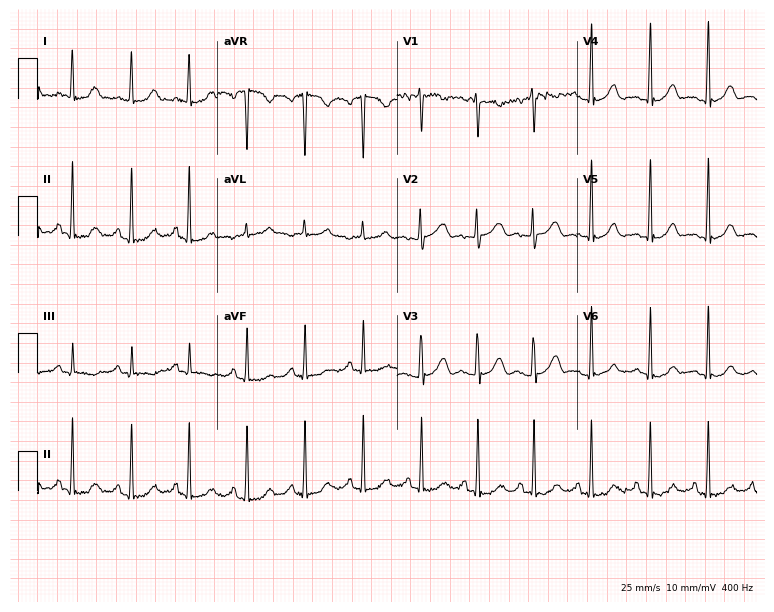
12-lead ECG from a 32-year-old female (7.3-second recording at 400 Hz). Recorded interpretation: within normal limits.